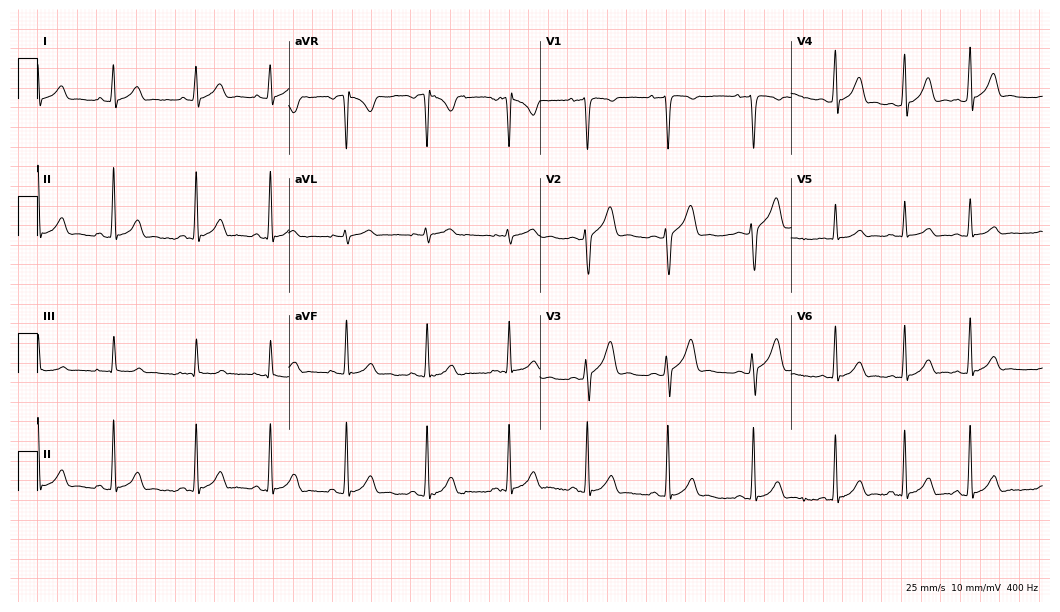
ECG (10.2-second recording at 400 Hz) — a female, 19 years old. Screened for six findings — first-degree AV block, right bundle branch block, left bundle branch block, sinus bradycardia, atrial fibrillation, sinus tachycardia — none is recorded.